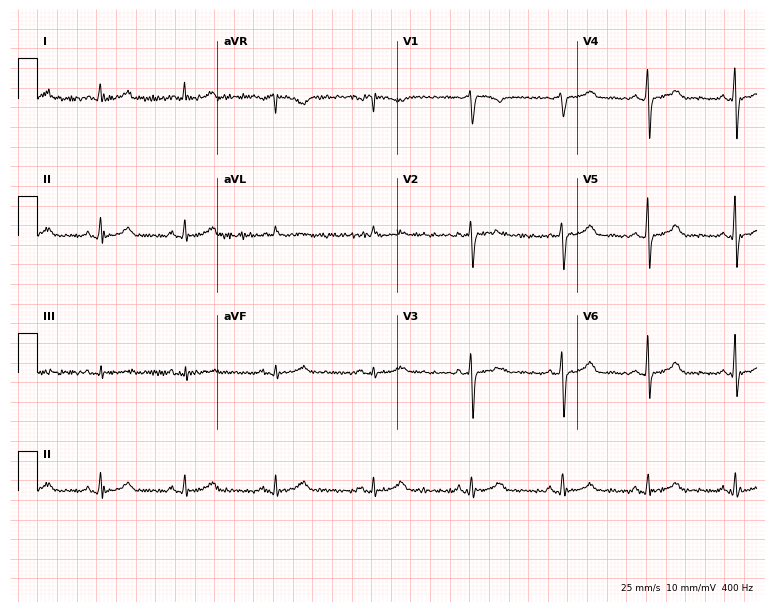
12-lead ECG (7.3-second recording at 400 Hz) from a 54-year-old female patient. Labelled as a normal ECG.